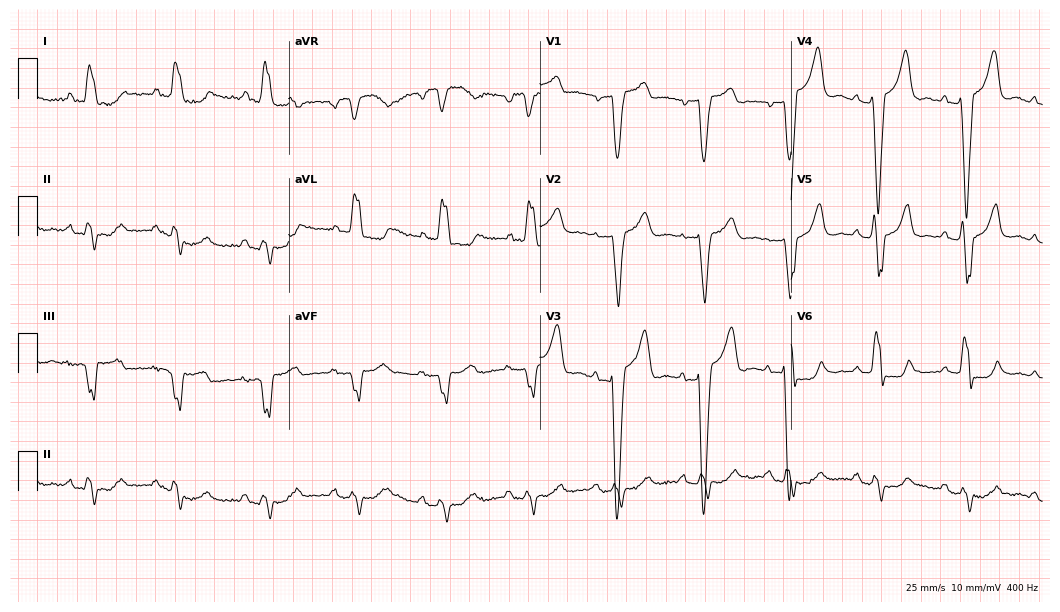
ECG (10.2-second recording at 400 Hz) — a female, 81 years old. Screened for six findings — first-degree AV block, right bundle branch block (RBBB), left bundle branch block (LBBB), sinus bradycardia, atrial fibrillation (AF), sinus tachycardia — none is recorded. Findings outside these six are not listed.